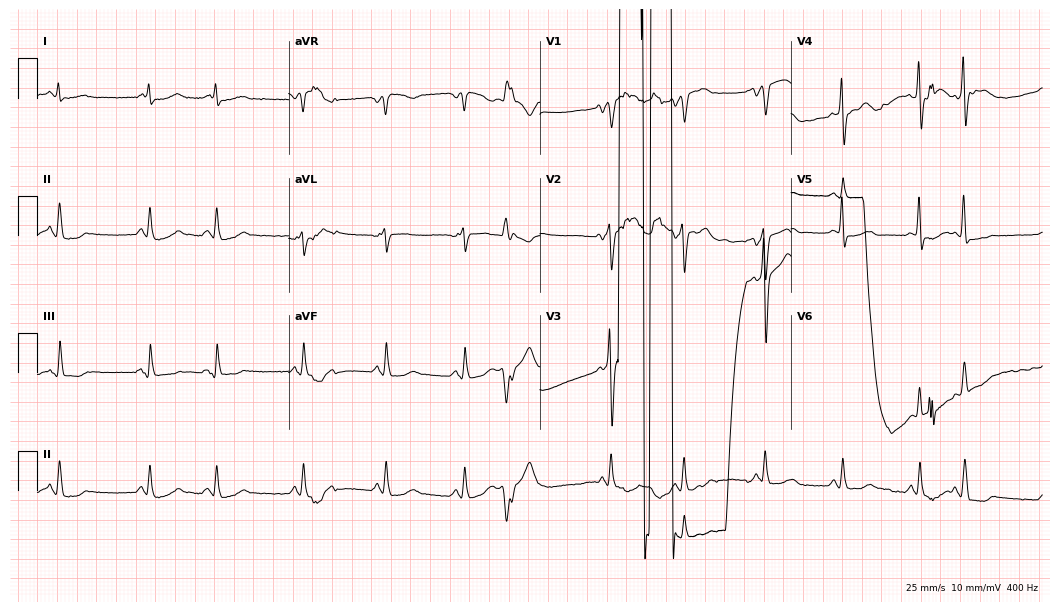
Resting 12-lead electrocardiogram. Patient: a 75-year-old male. None of these six findings is recorded: first-degree AV block, right bundle branch block, left bundle branch block, sinus bradycardia, atrial fibrillation, sinus tachycardia.